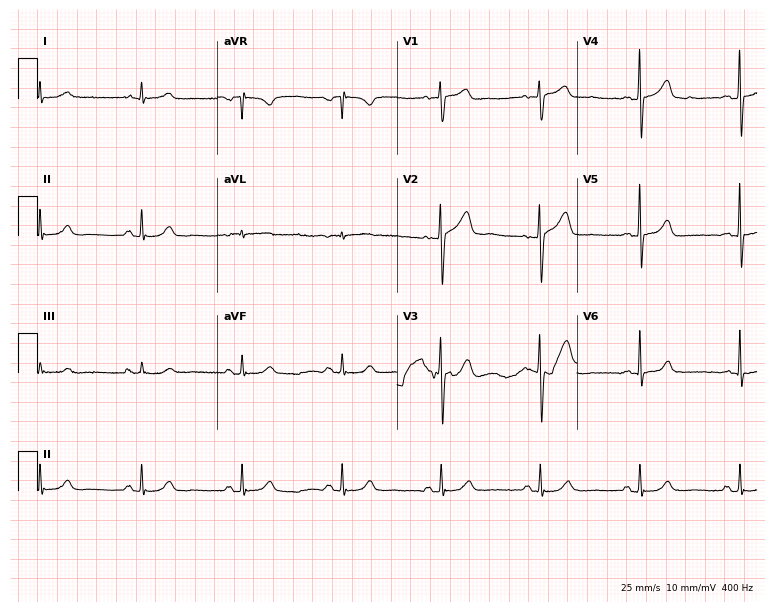
Resting 12-lead electrocardiogram (7.3-second recording at 400 Hz). Patient: a male, 70 years old. Read as a normal ECG.